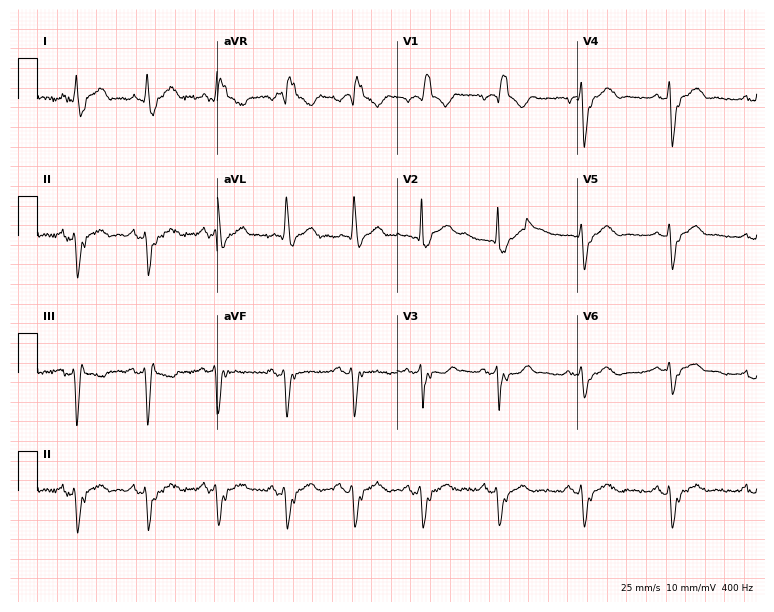
12-lead ECG (7.3-second recording at 400 Hz) from a male, 76 years old. Findings include right bundle branch block.